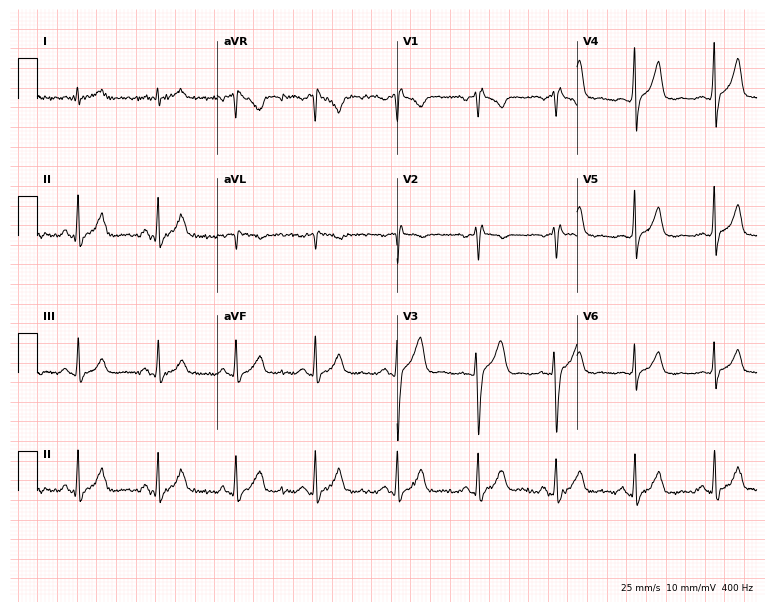
Standard 12-lead ECG recorded from a 50-year-old male patient. None of these six findings is recorded: first-degree AV block, right bundle branch block (RBBB), left bundle branch block (LBBB), sinus bradycardia, atrial fibrillation (AF), sinus tachycardia. Findings outside these six are not listed.